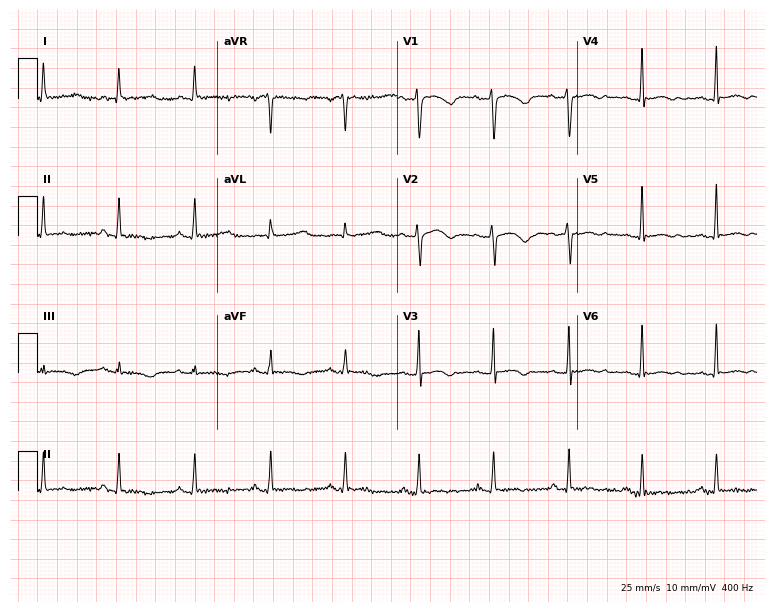
Electrocardiogram (7.3-second recording at 400 Hz), a female, 41 years old. Overall reading on record: normal ECG.